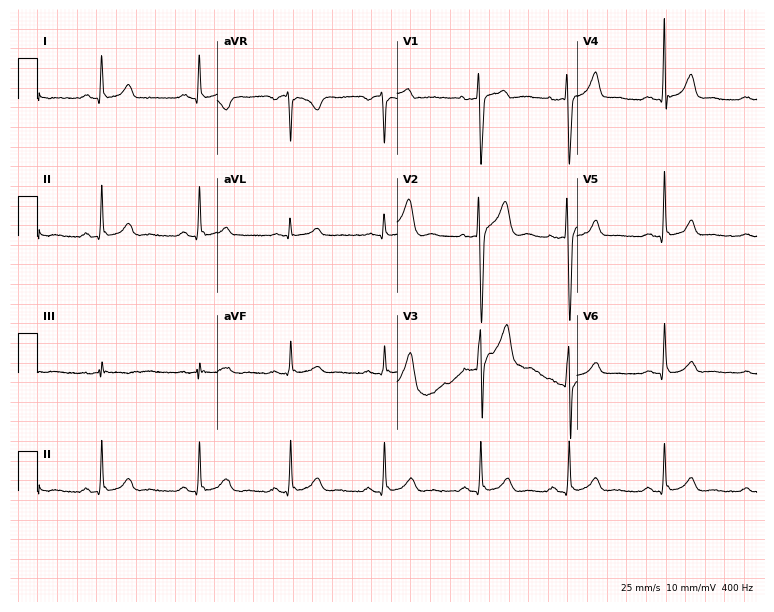
Standard 12-lead ECG recorded from a male patient, 41 years old. Read as a normal ECG.